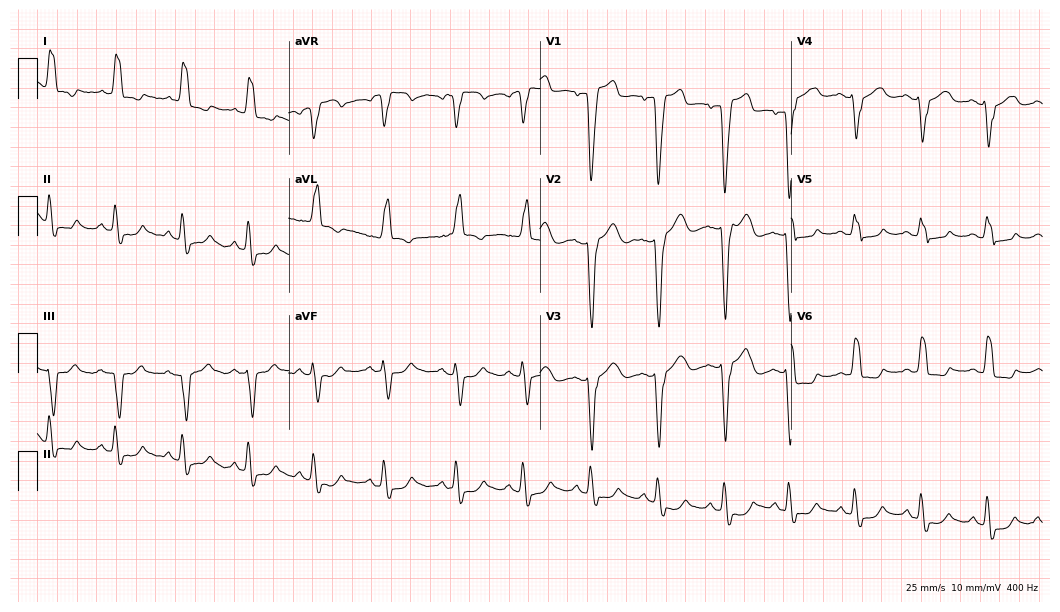
12-lead ECG from a 55-year-old woman (10.2-second recording at 400 Hz). Shows left bundle branch block (LBBB).